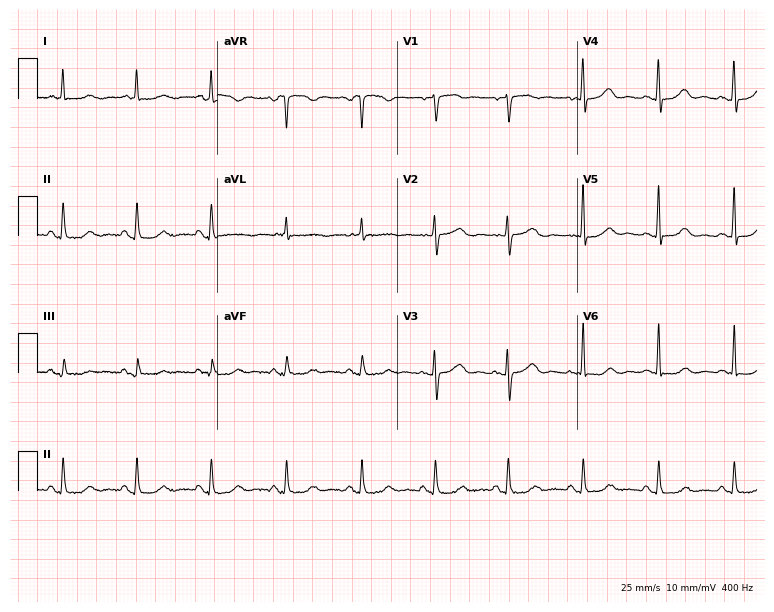
Electrocardiogram (7.3-second recording at 400 Hz), a woman, 71 years old. Of the six screened findings (first-degree AV block, right bundle branch block, left bundle branch block, sinus bradycardia, atrial fibrillation, sinus tachycardia), none is recorded. Other findings, if any, are not listed.